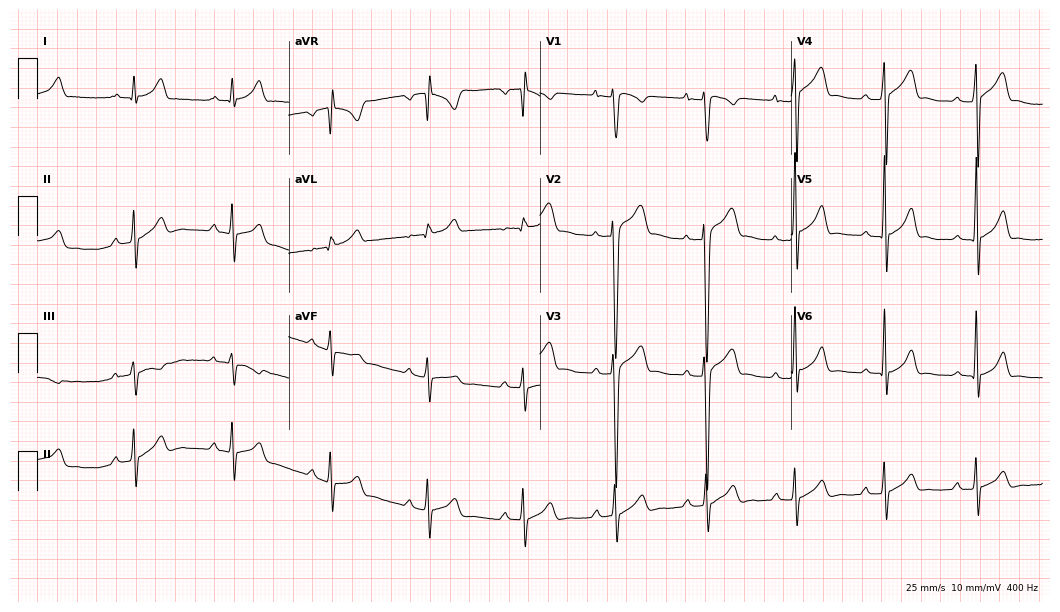
Resting 12-lead electrocardiogram. Patient: a 24-year-old man. Read as a normal ECG.